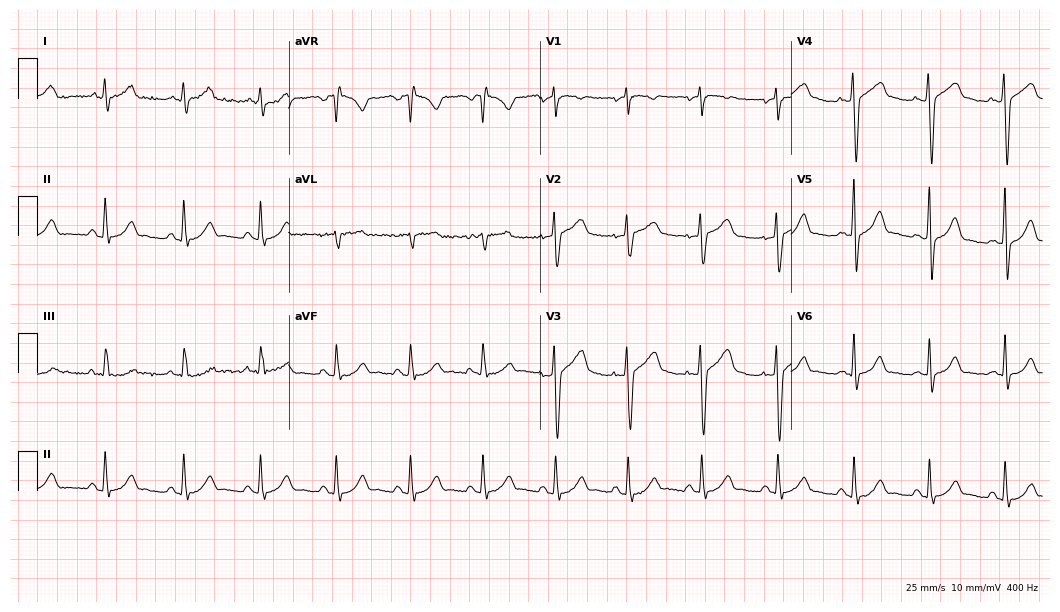
12-lead ECG from a male patient, 41 years old. Labelled as a normal ECG.